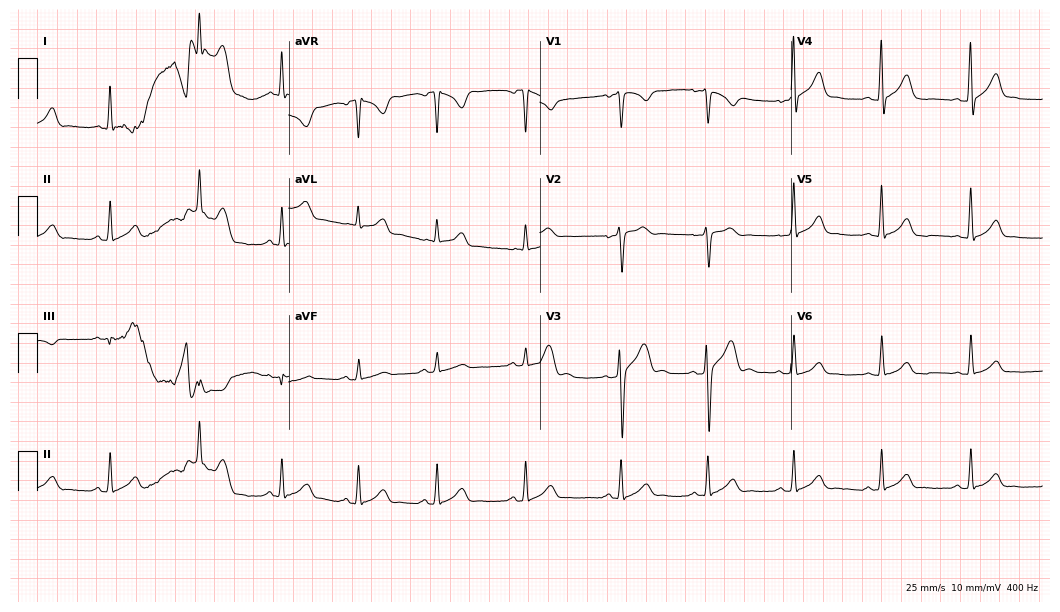
Standard 12-lead ECG recorded from a male patient, 23 years old. Read as a normal ECG.